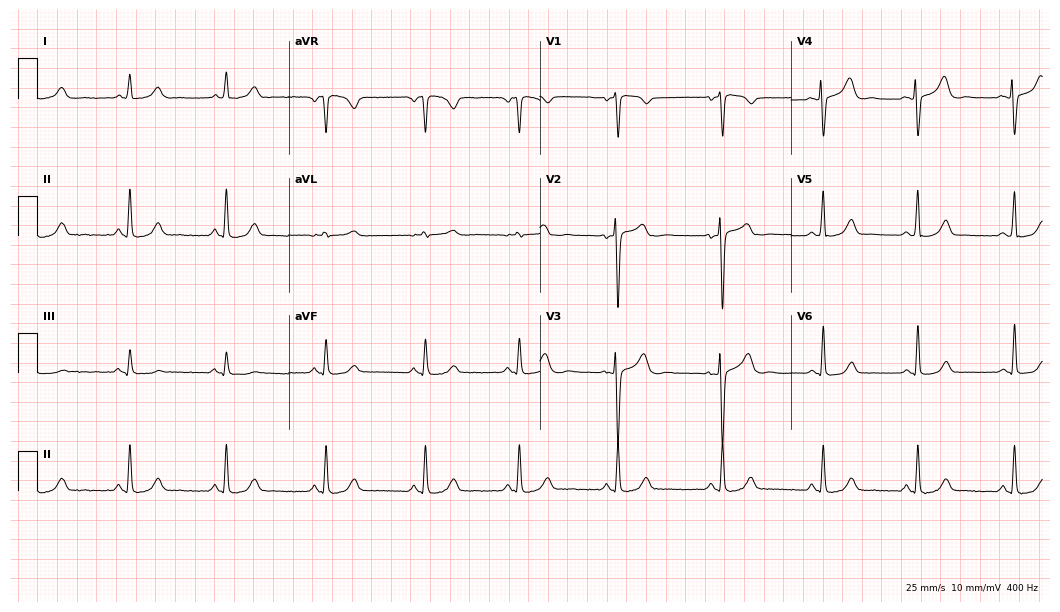
ECG — a woman, 50 years old. Labelled as a normal ECG.